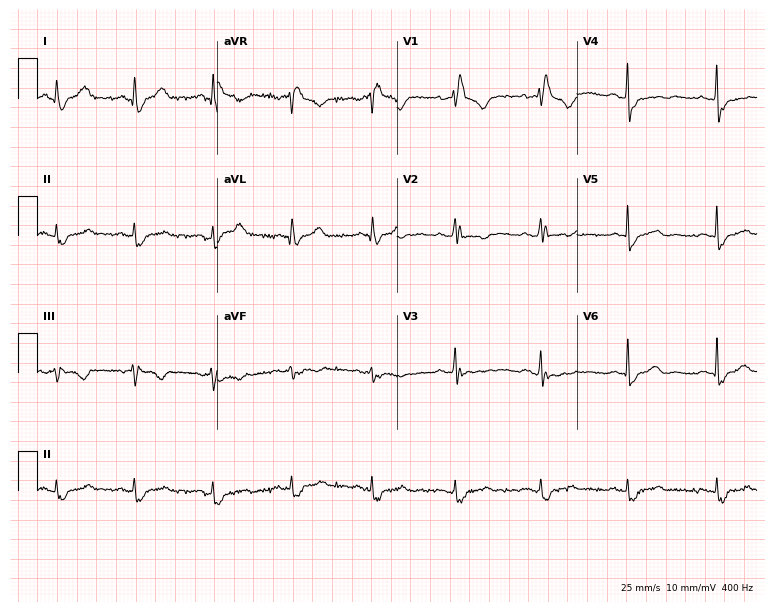
ECG (7.3-second recording at 400 Hz) — a female, 49 years old. Findings include right bundle branch block (RBBB).